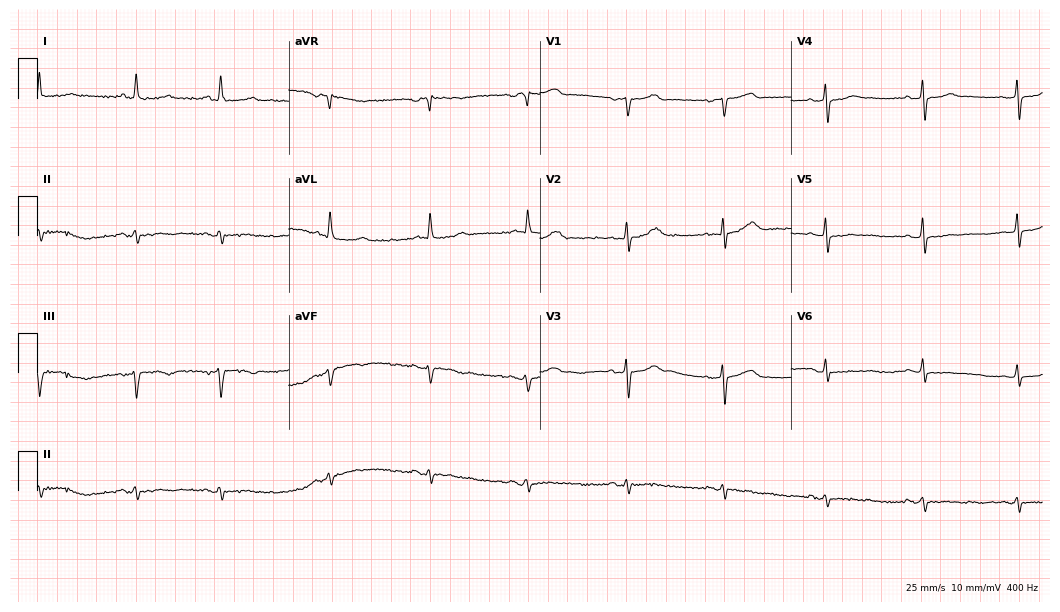
Standard 12-lead ECG recorded from an 84-year-old male. None of these six findings is recorded: first-degree AV block, right bundle branch block, left bundle branch block, sinus bradycardia, atrial fibrillation, sinus tachycardia. Only these six findings were labelled.